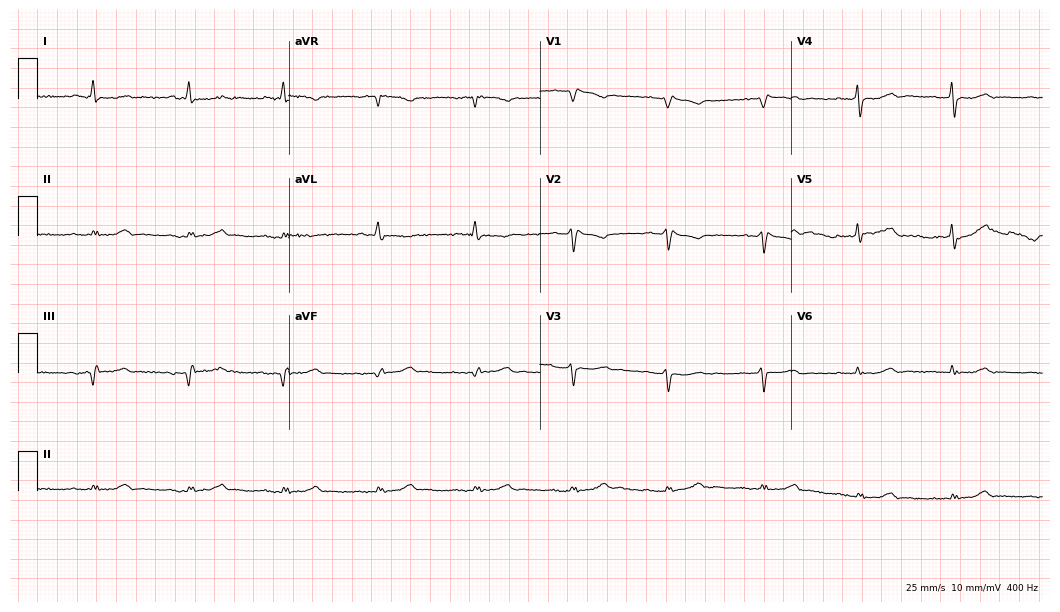
Electrocardiogram, a 78-year-old female. Of the six screened findings (first-degree AV block, right bundle branch block, left bundle branch block, sinus bradycardia, atrial fibrillation, sinus tachycardia), none is recorded.